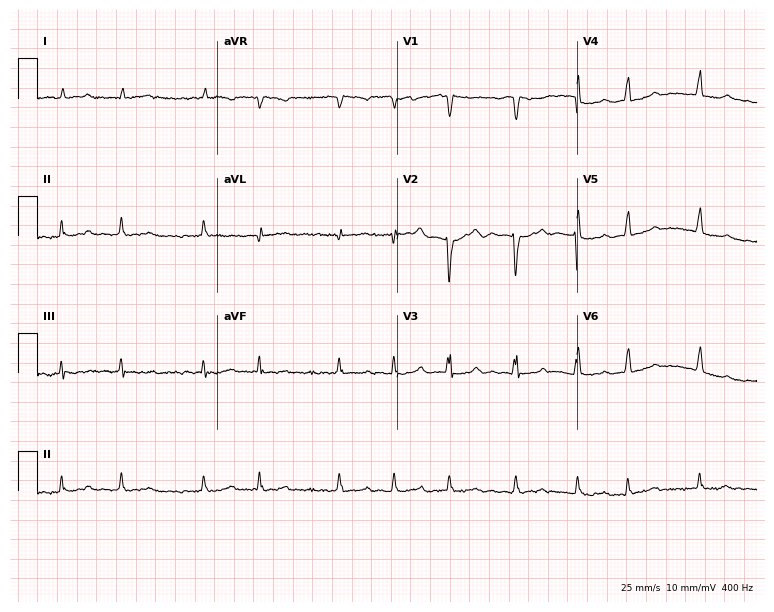
12-lead ECG (7.3-second recording at 400 Hz) from a female patient, 59 years old. Findings include atrial fibrillation (AF).